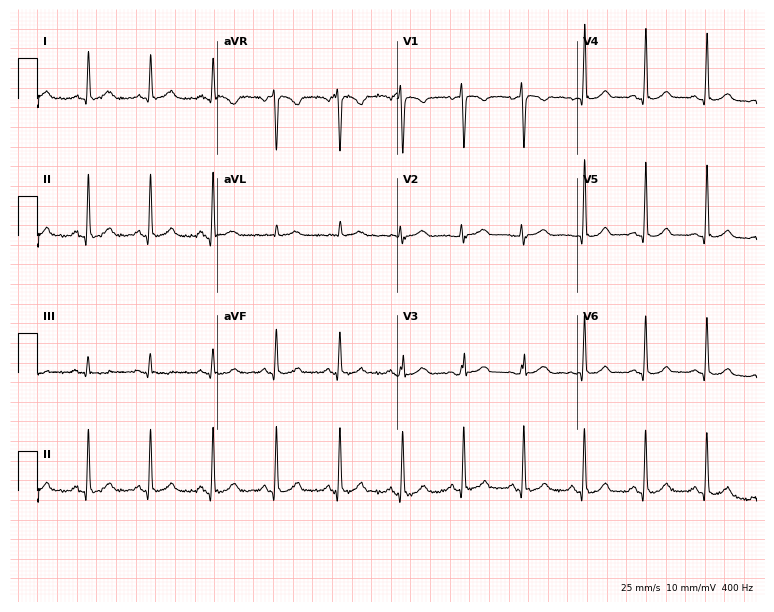
ECG — a 48-year-old female patient. Labelled as a normal ECG.